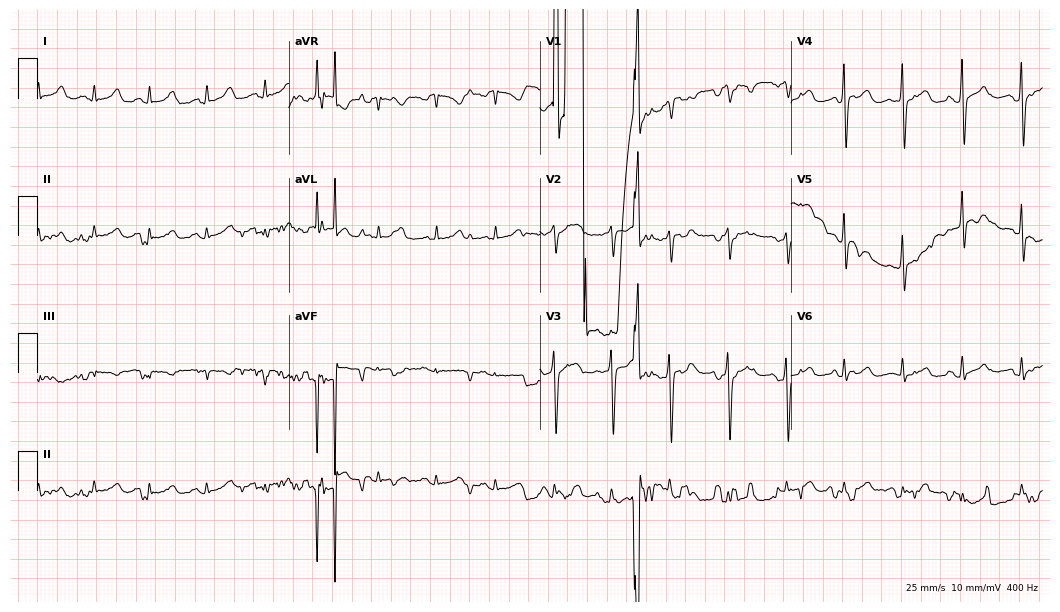
12-lead ECG (10.2-second recording at 400 Hz) from a 32-year-old woman. Findings include atrial fibrillation (AF).